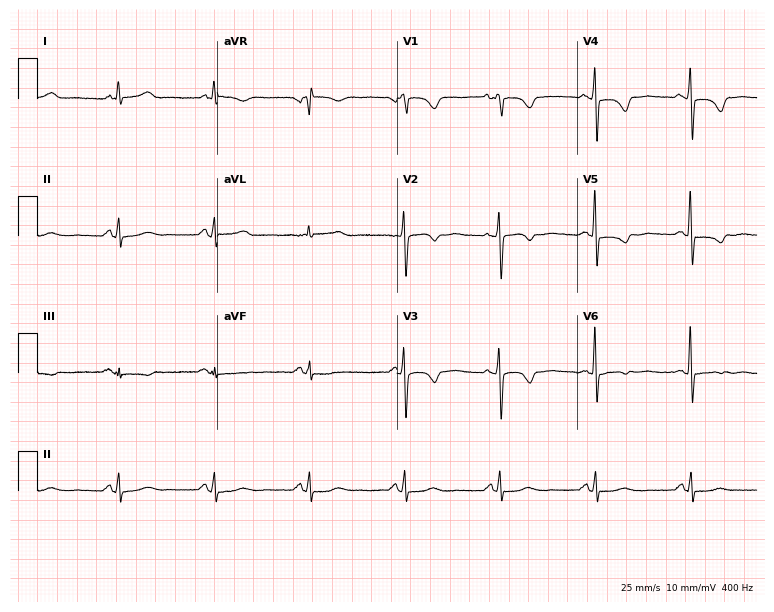
Standard 12-lead ECG recorded from a woman, 66 years old. Read as a normal ECG.